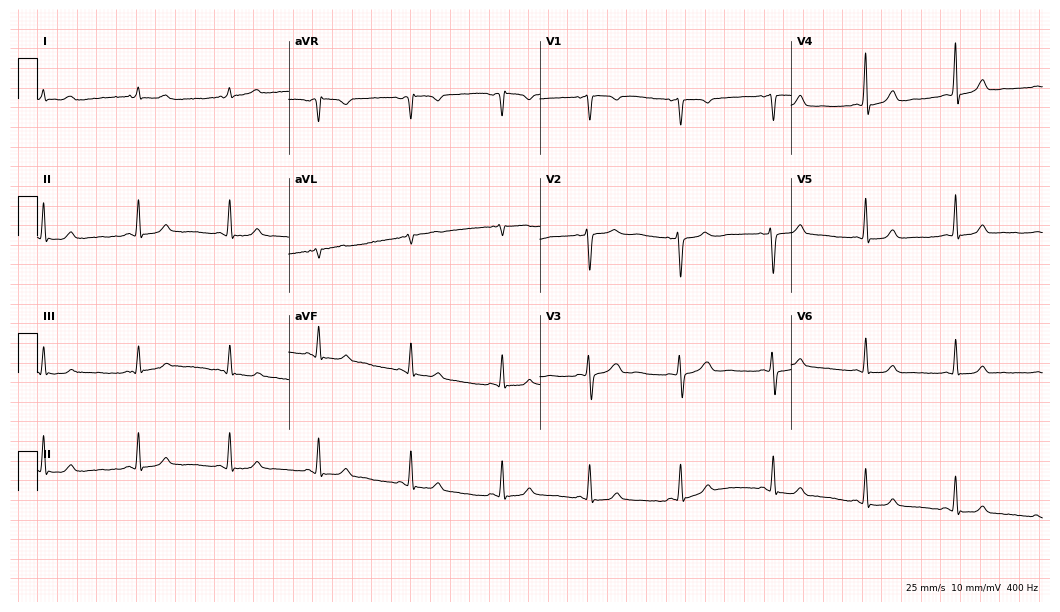
Electrocardiogram, a 25-year-old female. Of the six screened findings (first-degree AV block, right bundle branch block (RBBB), left bundle branch block (LBBB), sinus bradycardia, atrial fibrillation (AF), sinus tachycardia), none is recorded.